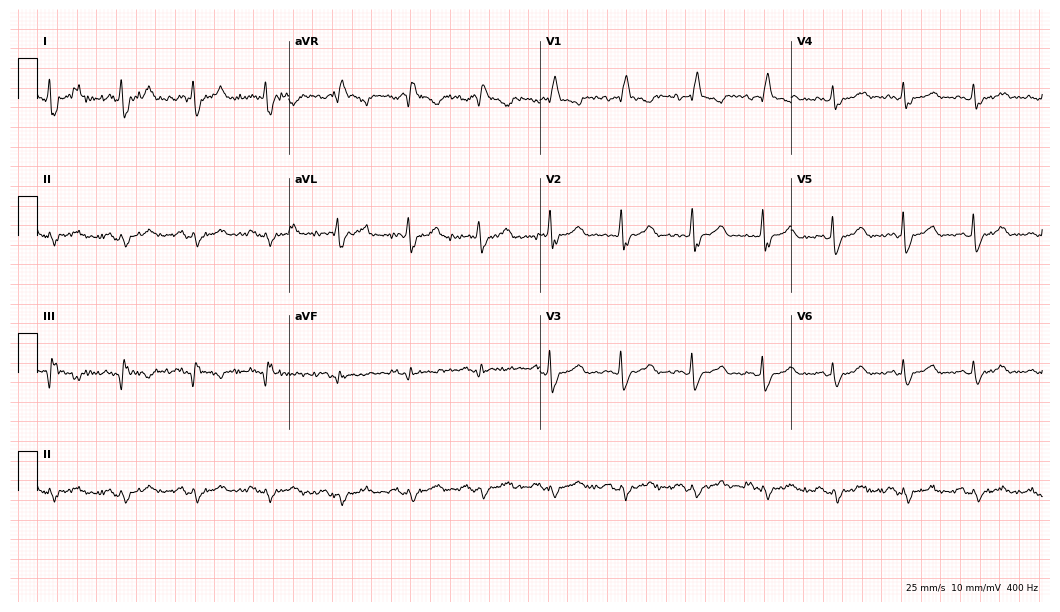
Electrocardiogram, a 64-year-old female. Of the six screened findings (first-degree AV block, right bundle branch block, left bundle branch block, sinus bradycardia, atrial fibrillation, sinus tachycardia), none is recorded.